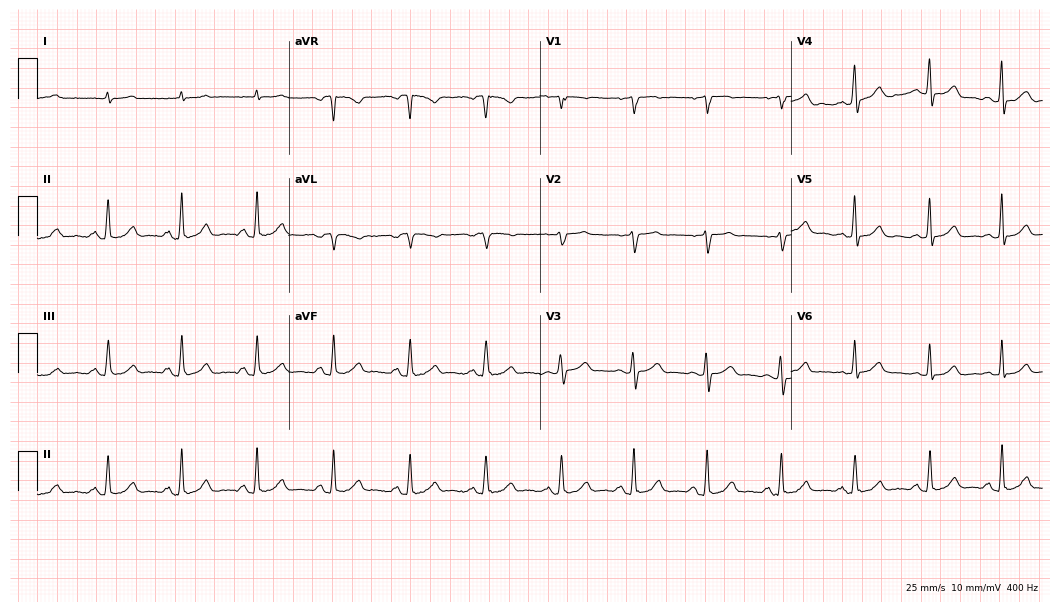
12-lead ECG from a 67-year-old male. Labelled as a normal ECG.